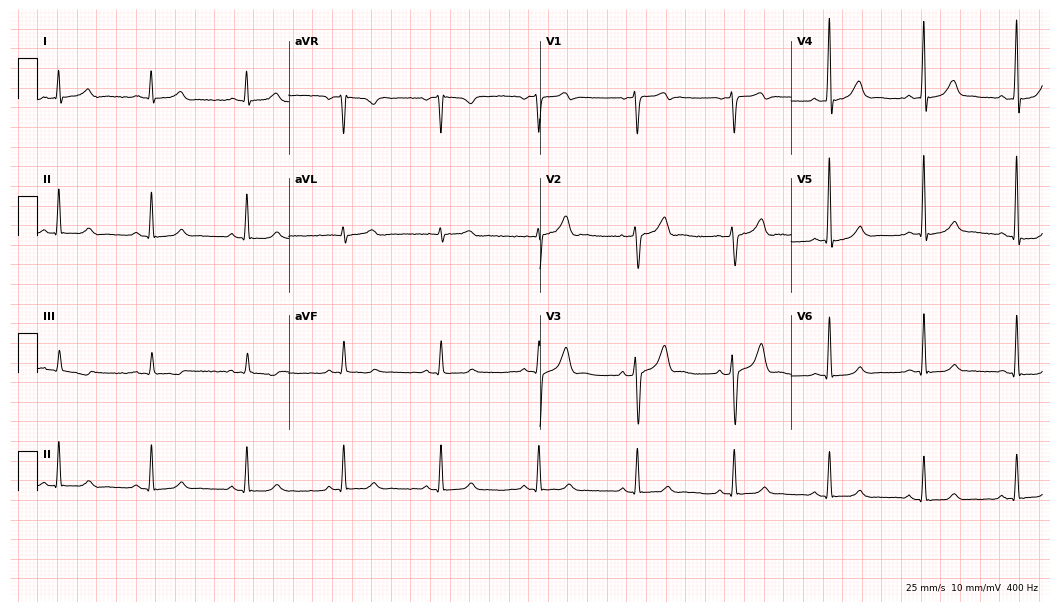
ECG (10.2-second recording at 400 Hz) — a man, 59 years old. Screened for six findings — first-degree AV block, right bundle branch block, left bundle branch block, sinus bradycardia, atrial fibrillation, sinus tachycardia — none is recorded. Findings outside these six are not listed.